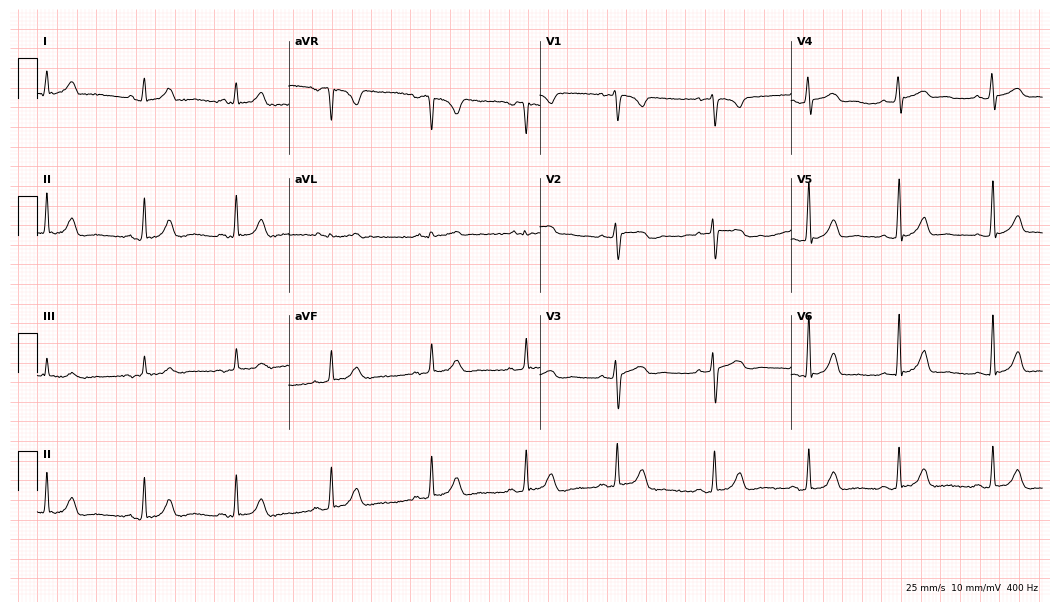
ECG — a woman, 27 years old. Screened for six findings — first-degree AV block, right bundle branch block, left bundle branch block, sinus bradycardia, atrial fibrillation, sinus tachycardia — none is recorded. Other findings, if any, are not listed.